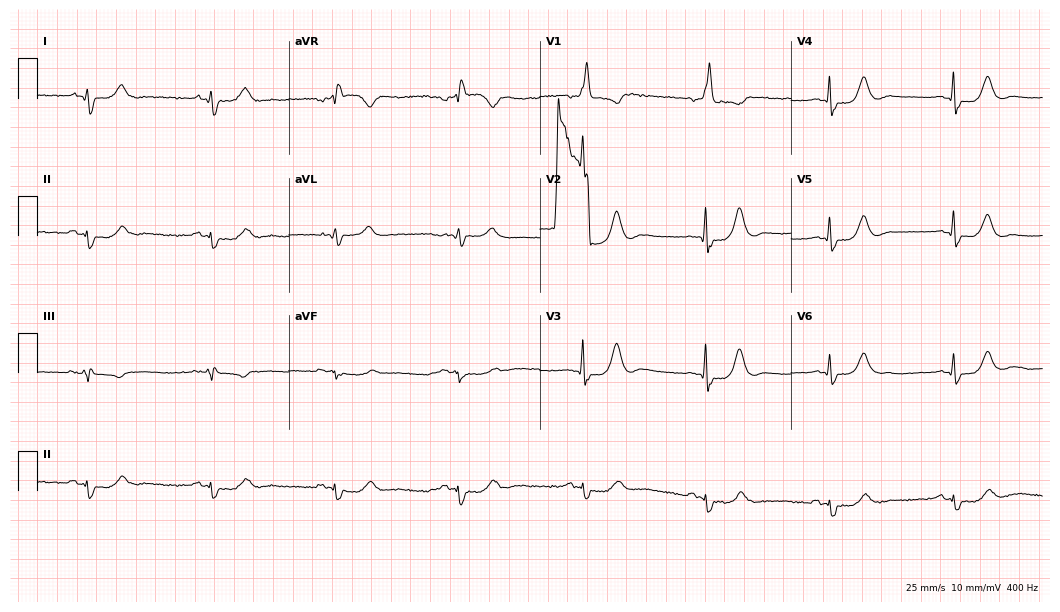
Resting 12-lead electrocardiogram (10.2-second recording at 400 Hz). Patient: a 74-year-old woman. None of these six findings is recorded: first-degree AV block, right bundle branch block, left bundle branch block, sinus bradycardia, atrial fibrillation, sinus tachycardia. Other findings, if any, are not listed.